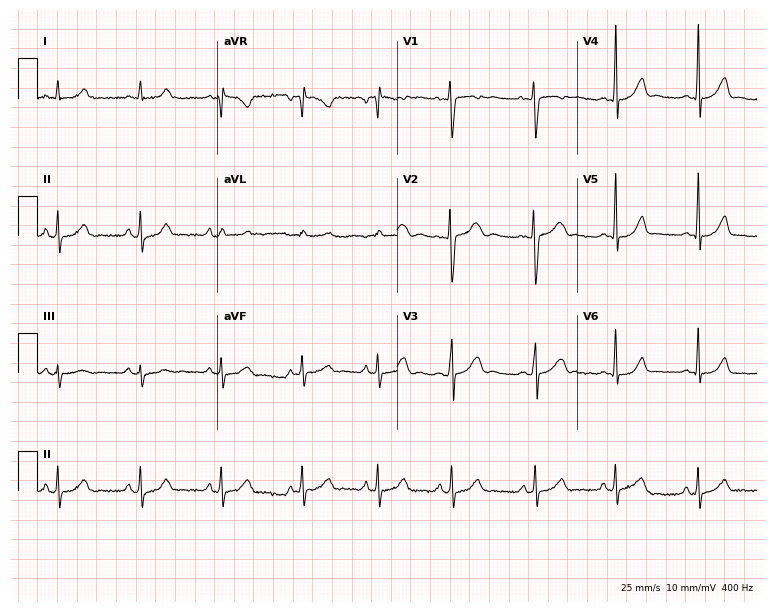
ECG (7.3-second recording at 400 Hz) — a female patient, 21 years old. Screened for six findings — first-degree AV block, right bundle branch block, left bundle branch block, sinus bradycardia, atrial fibrillation, sinus tachycardia — none is recorded.